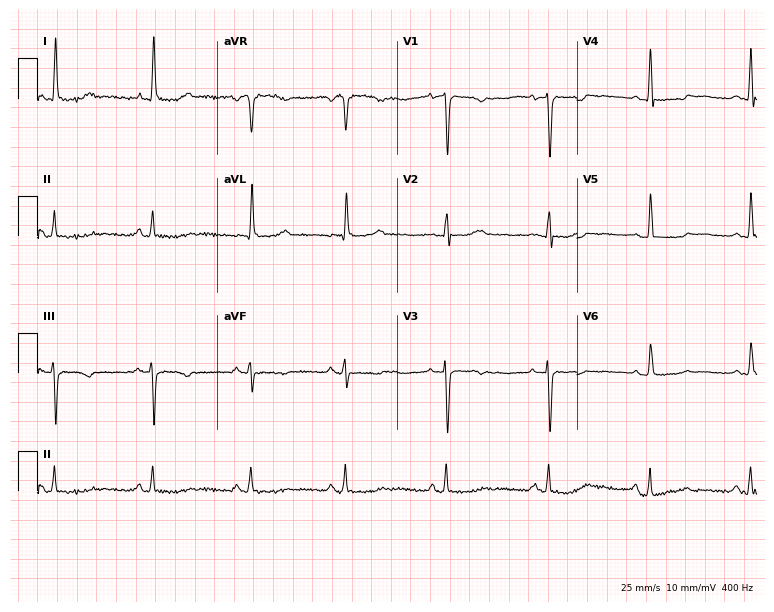
12-lead ECG from a 56-year-old female patient. Screened for six findings — first-degree AV block, right bundle branch block, left bundle branch block, sinus bradycardia, atrial fibrillation, sinus tachycardia — none is recorded.